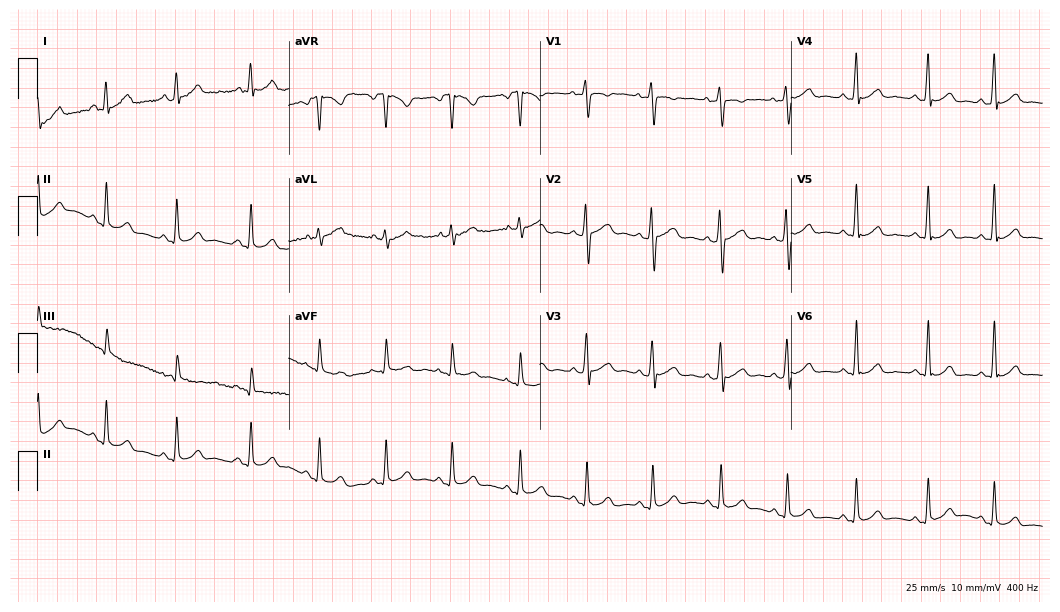
12-lead ECG from a woman, 18 years old. Screened for six findings — first-degree AV block, right bundle branch block, left bundle branch block, sinus bradycardia, atrial fibrillation, sinus tachycardia — none is recorded. Only these six findings were labelled.